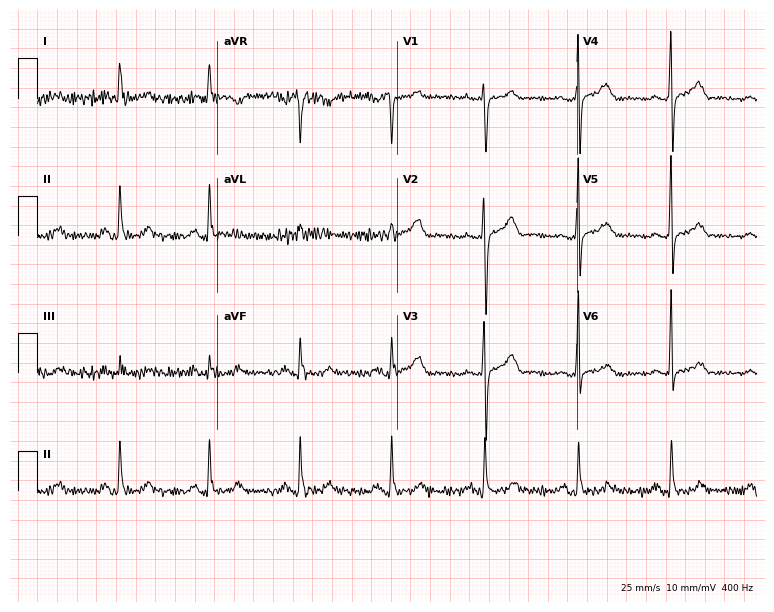
ECG — a woman, 51 years old. Labelled as a normal ECG.